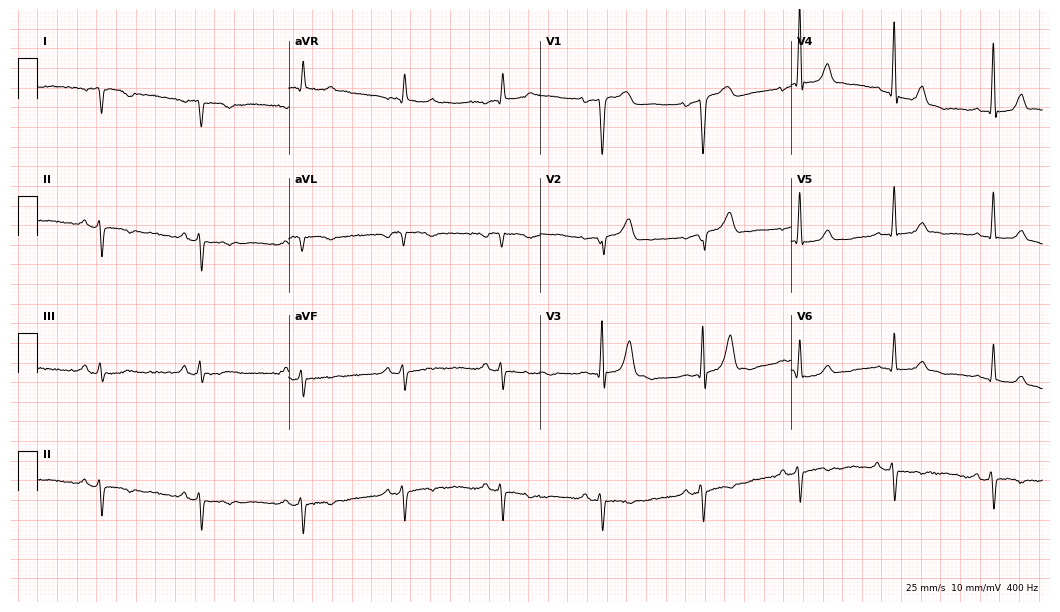
Resting 12-lead electrocardiogram. Patient: a male, 76 years old. None of these six findings is recorded: first-degree AV block, right bundle branch block, left bundle branch block, sinus bradycardia, atrial fibrillation, sinus tachycardia. Only these six findings were labelled.